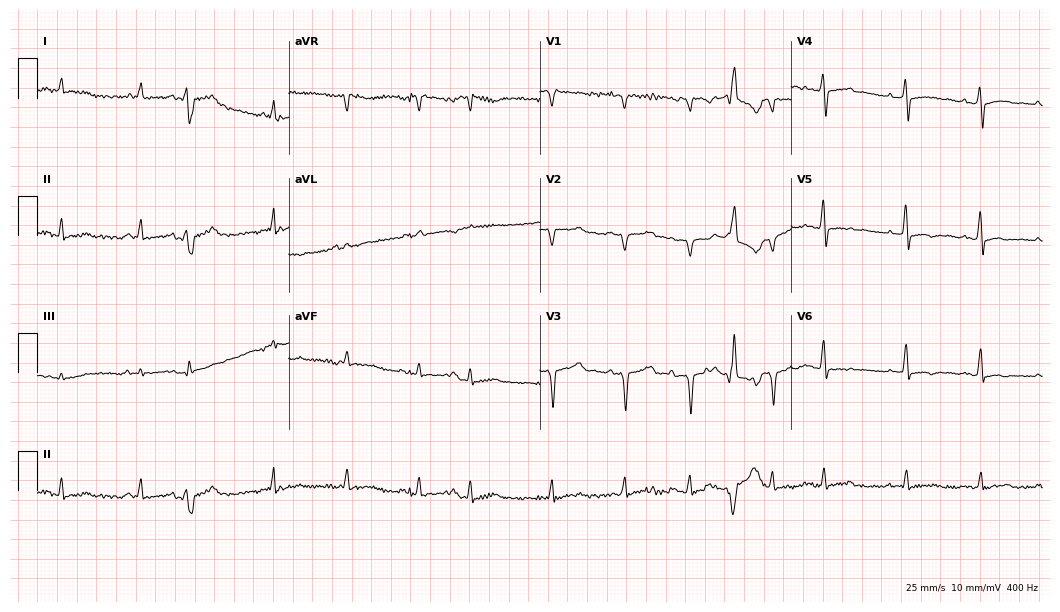
12-lead ECG (10.2-second recording at 400 Hz) from a 63-year-old female. Findings include atrial fibrillation (AF).